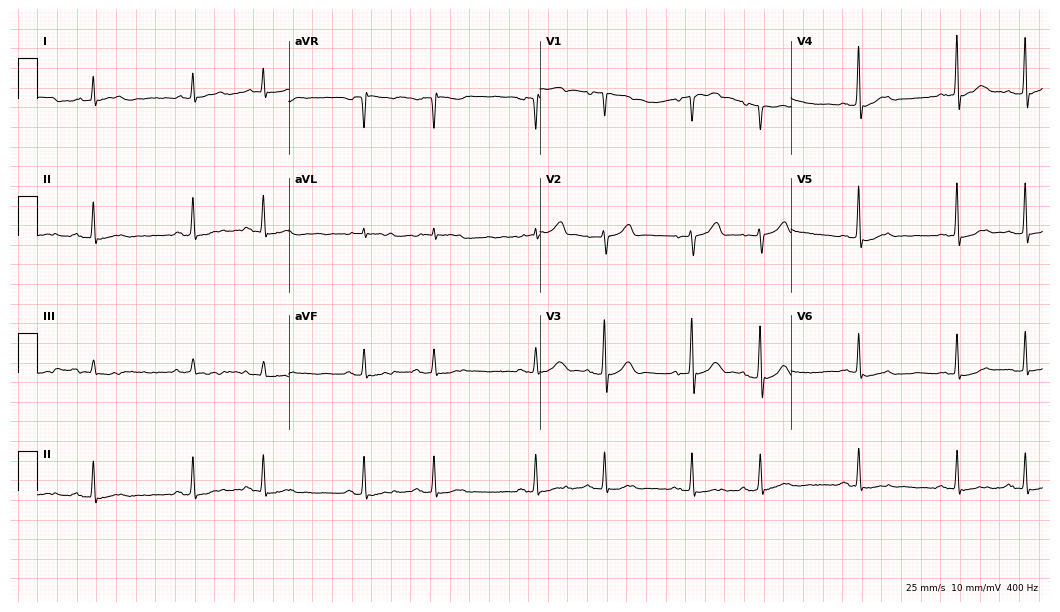
Standard 12-lead ECG recorded from an 81-year-old male. None of these six findings is recorded: first-degree AV block, right bundle branch block (RBBB), left bundle branch block (LBBB), sinus bradycardia, atrial fibrillation (AF), sinus tachycardia.